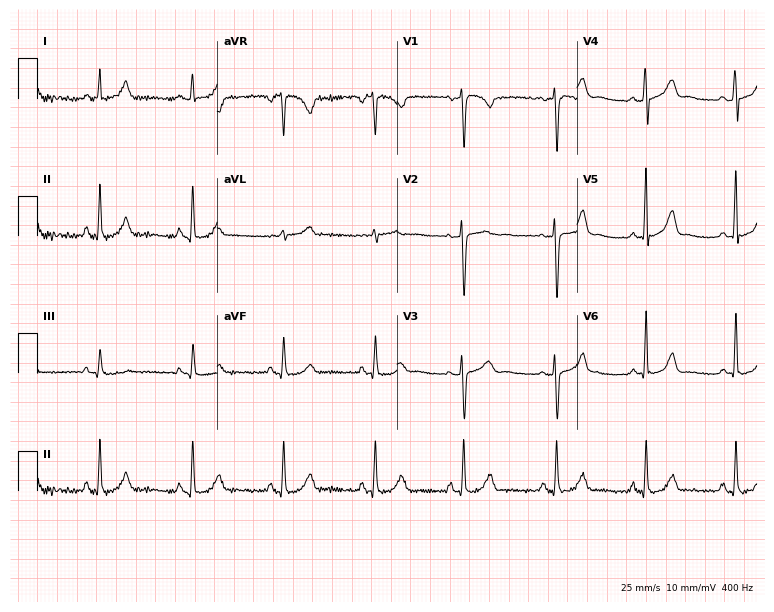
ECG (7.3-second recording at 400 Hz) — a female patient, 46 years old. Labelled as a normal ECG.